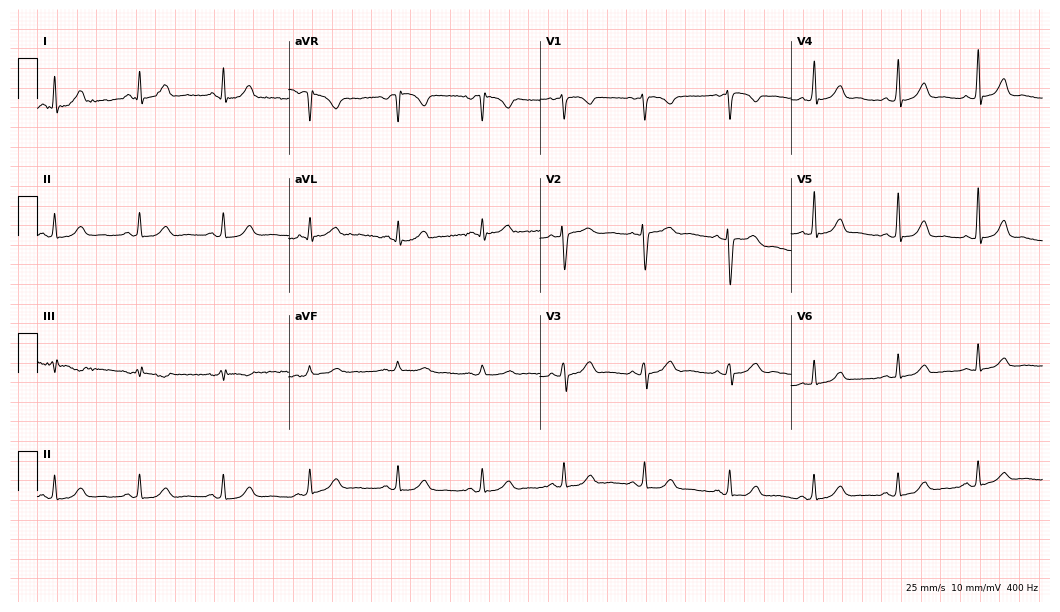
Electrocardiogram (10.2-second recording at 400 Hz), a female, 31 years old. Overall reading on record: normal ECG.